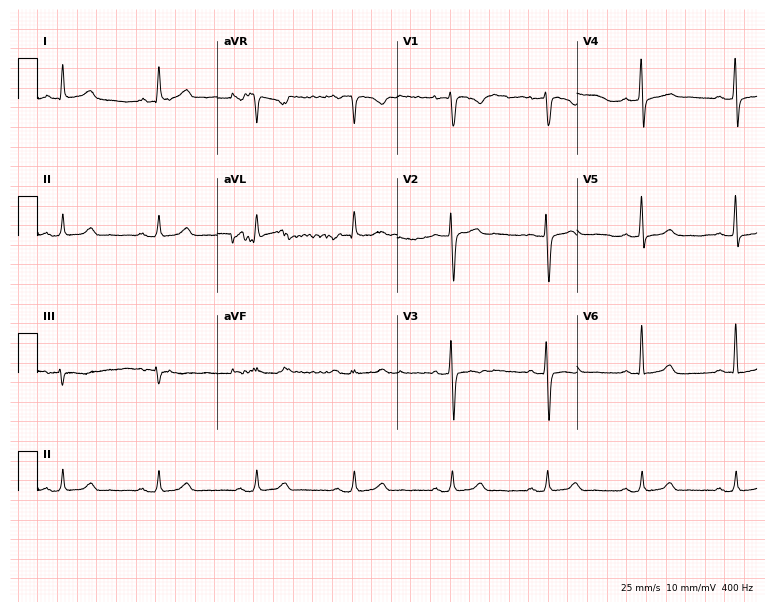
12-lead ECG (7.3-second recording at 400 Hz) from a male, 50 years old. Screened for six findings — first-degree AV block, right bundle branch block, left bundle branch block, sinus bradycardia, atrial fibrillation, sinus tachycardia — none is recorded.